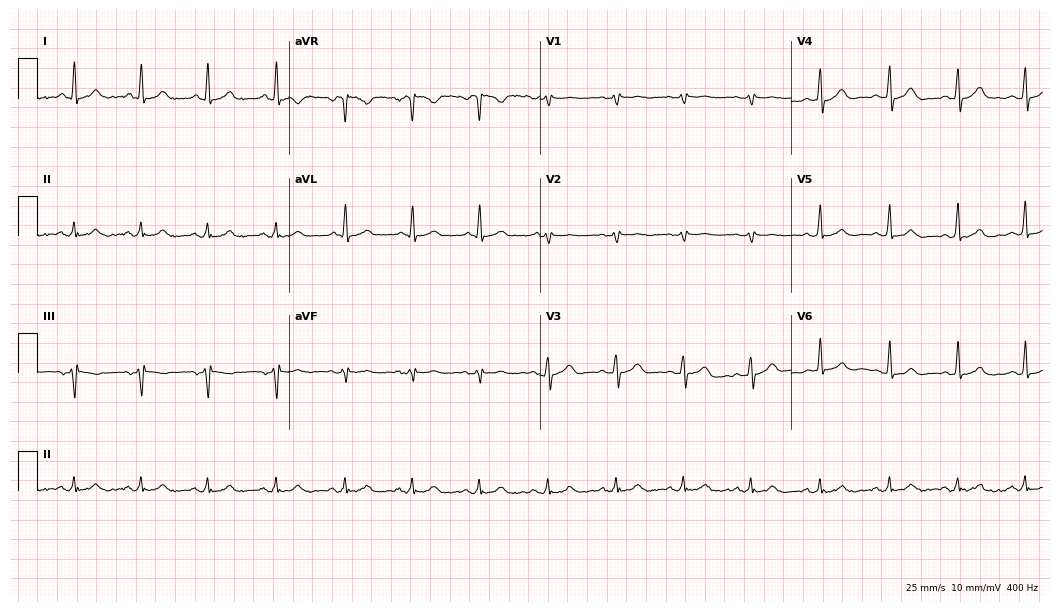
Standard 12-lead ECG recorded from a 34-year-old woman (10.2-second recording at 400 Hz). Read as a normal ECG.